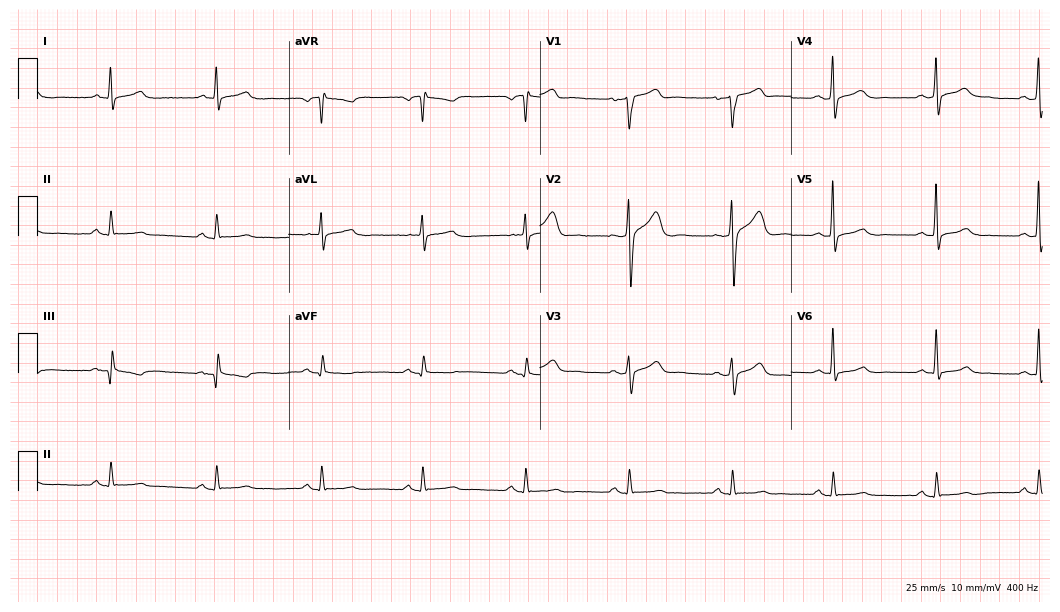
12-lead ECG (10.2-second recording at 400 Hz) from a 57-year-old male. Labelled as a normal ECG.